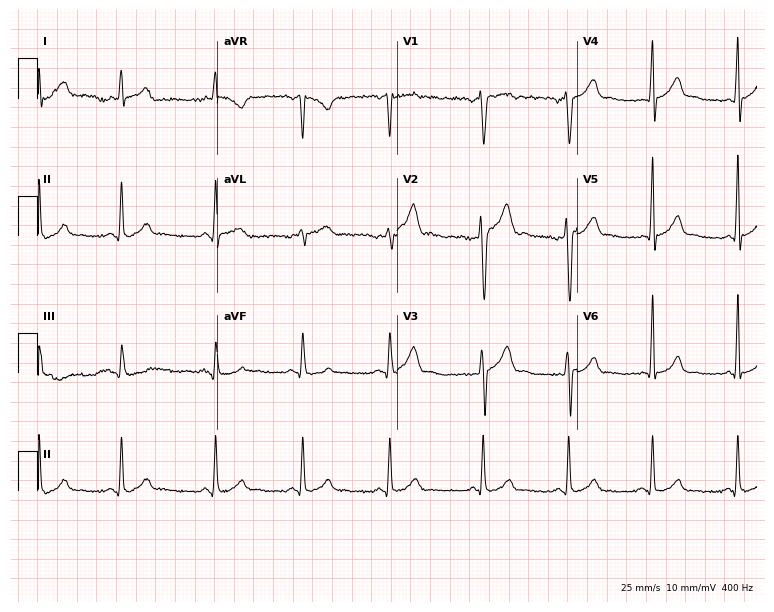
12-lead ECG from a 19-year-old male (7.3-second recording at 400 Hz). Recorded interpretation: within normal limits.